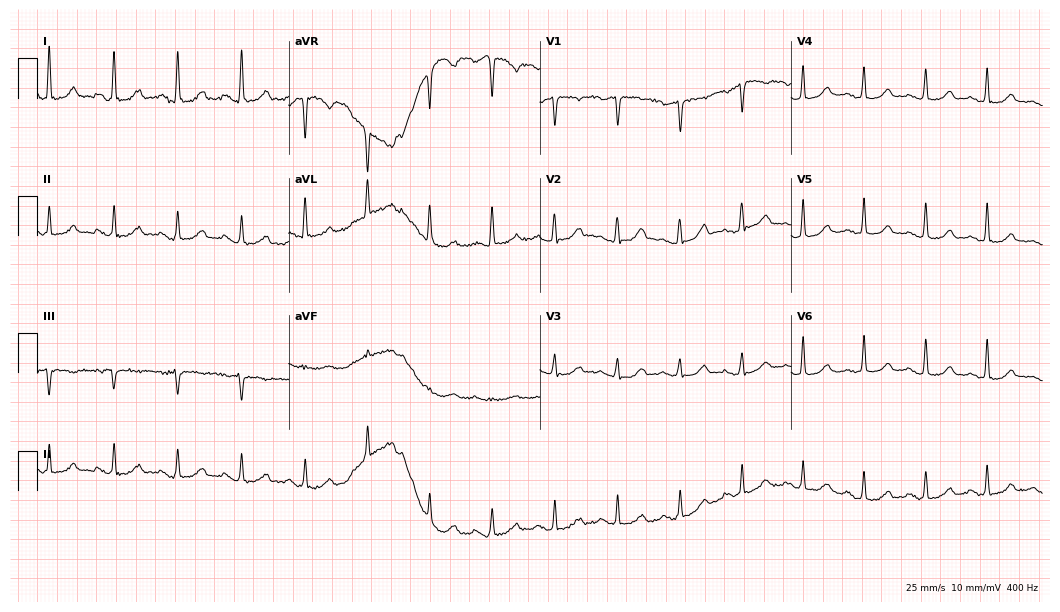
Resting 12-lead electrocardiogram. Patient: a female, 37 years old. Read as a normal ECG.